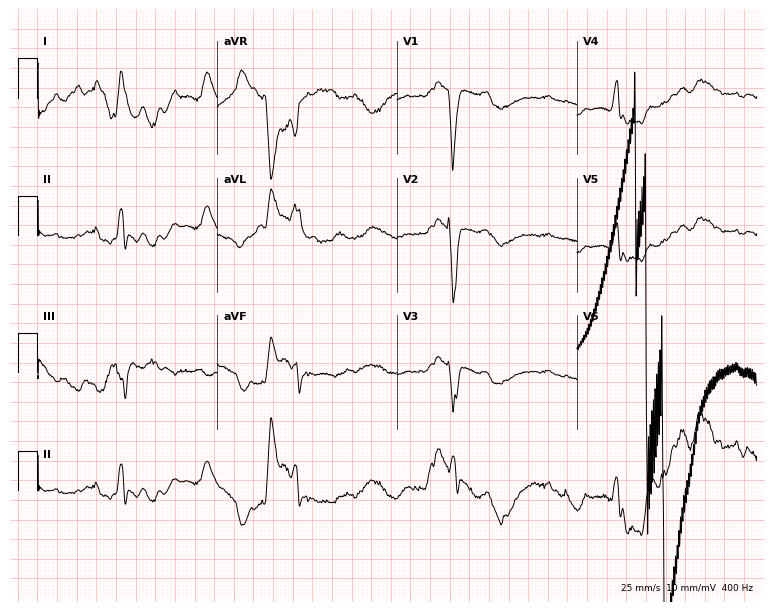
Resting 12-lead electrocardiogram (7.3-second recording at 400 Hz). Patient: a woman, 84 years old. None of these six findings is recorded: first-degree AV block, right bundle branch block, left bundle branch block, sinus bradycardia, atrial fibrillation, sinus tachycardia. Other findings, if any, are not listed.